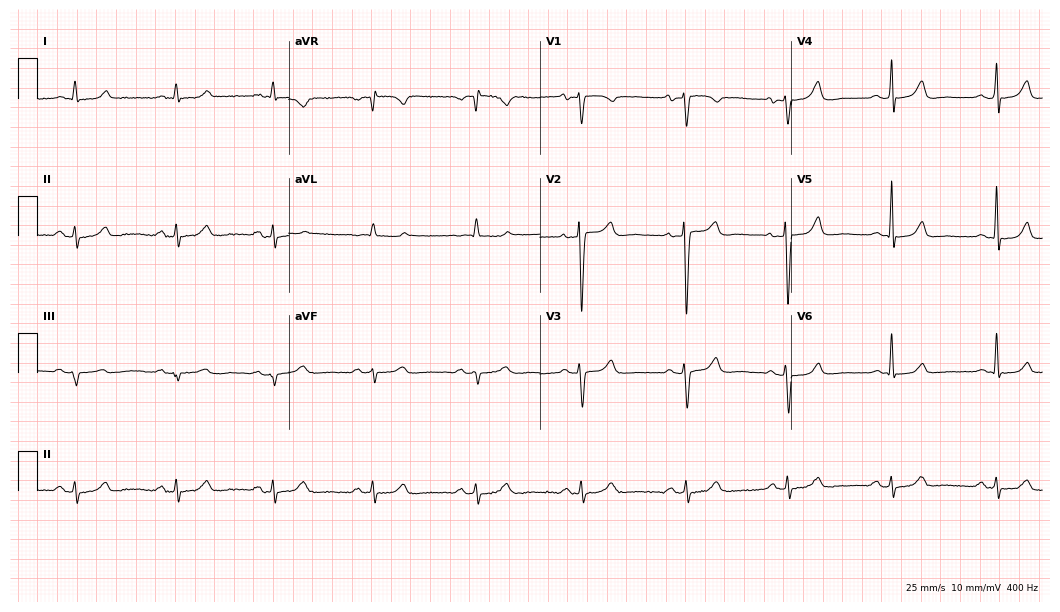
Standard 12-lead ECG recorded from a female patient, 64 years old (10.2-second recording at 400 Hz). None of these six findings is recorded: first-degree AV block, right bundle branch block (RBBB), left bundle branch block (LBBB), sinus bradycardia, atrial fibrillation (AF), sinus tachycardia.